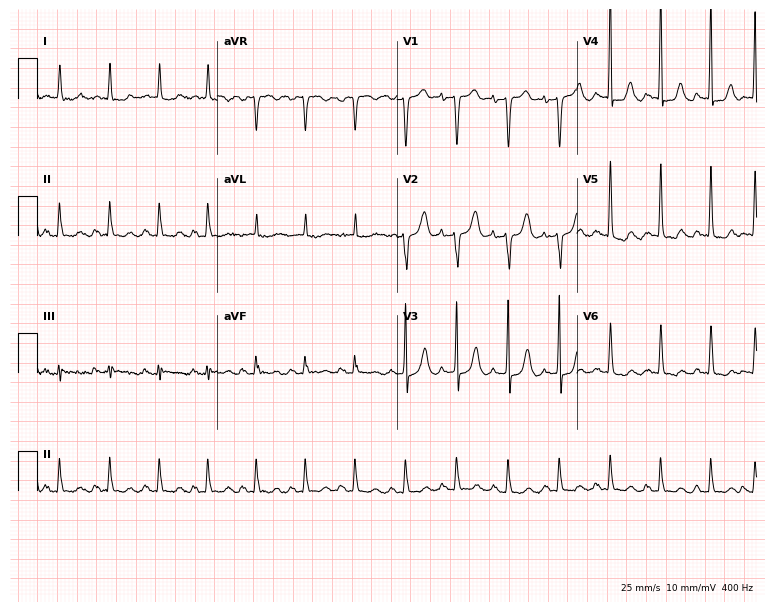
Standard 12-lead ECG recorded from a woman, 84 years old. The tracing shows sinus tachycardia (a sinus rate of 100 beats per minute or more).